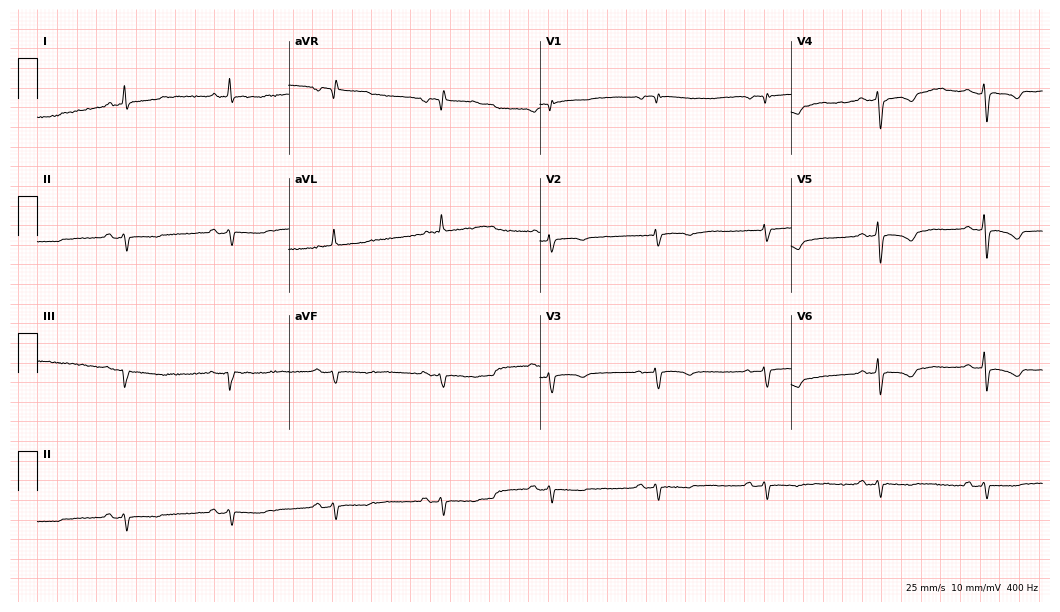
Electrocardiogram (10.2-second recording at 400 Hz), a 71-year-old female. Of the six screened findings (first-degree AV block, right bundle branch block, left bundle branch block, sinus bradycardia, atrial fibrillation, sinus tachycardia), none is recorded.